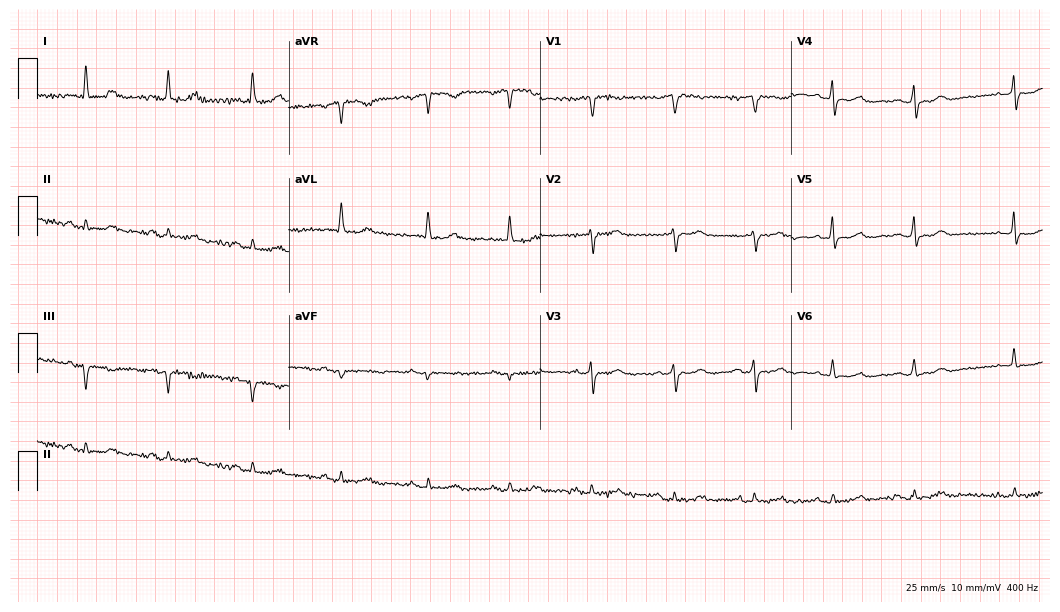
ECG (10.2-second recording at 400 Hz) — a 64-year-old female patient. Labelled as a normal ECG.